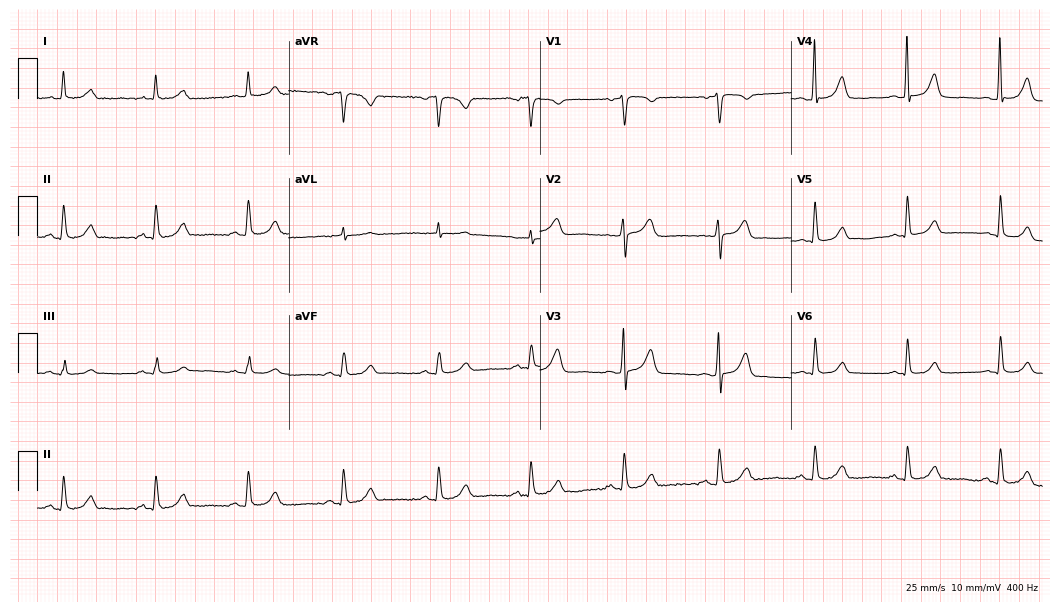
Standard 12-lead ECG recorded from a 77-year-old woman. Read as a normal ECG.